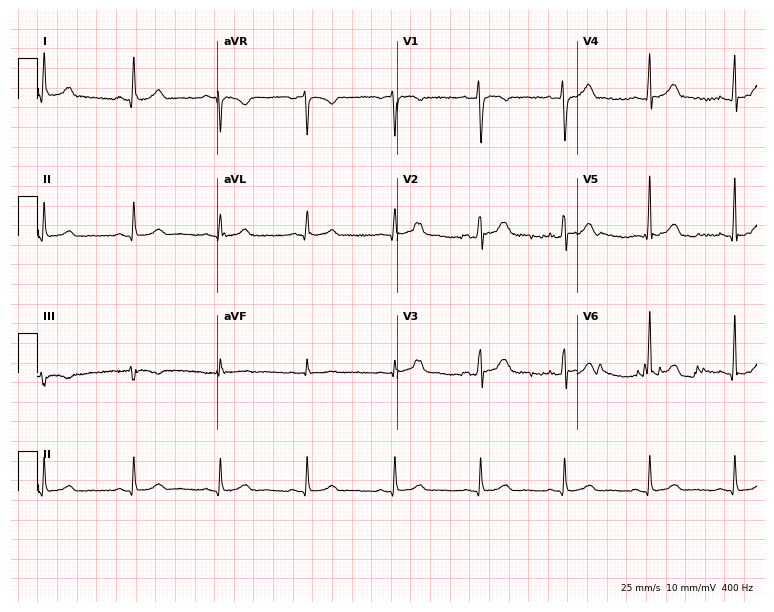
Resting 12-lead electrocardiogram (7.3-second recording at 400 Hz). Patient: a 27-year-old man. Read as a normal ECG.